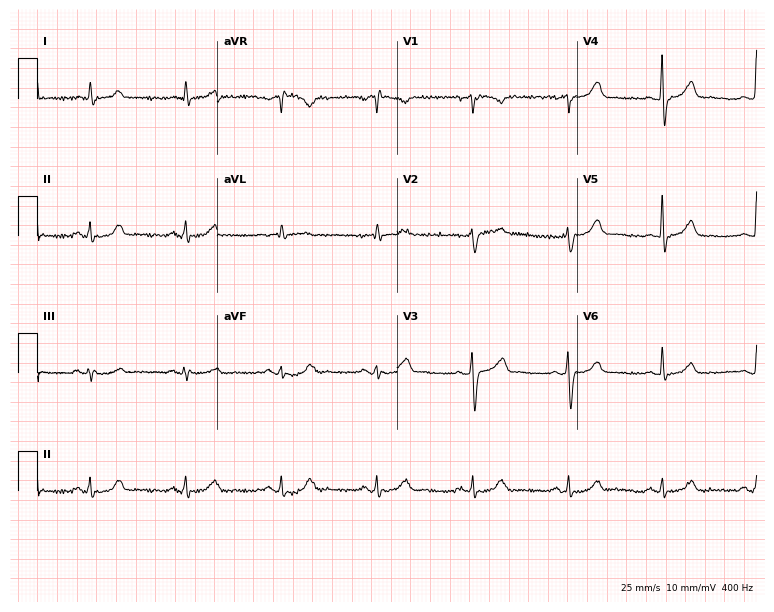
Resting 12-lead electrocardiogram (7.3-second recording at 400 Hz). Patient: a 69-year-old male. Read as a normal ECG.